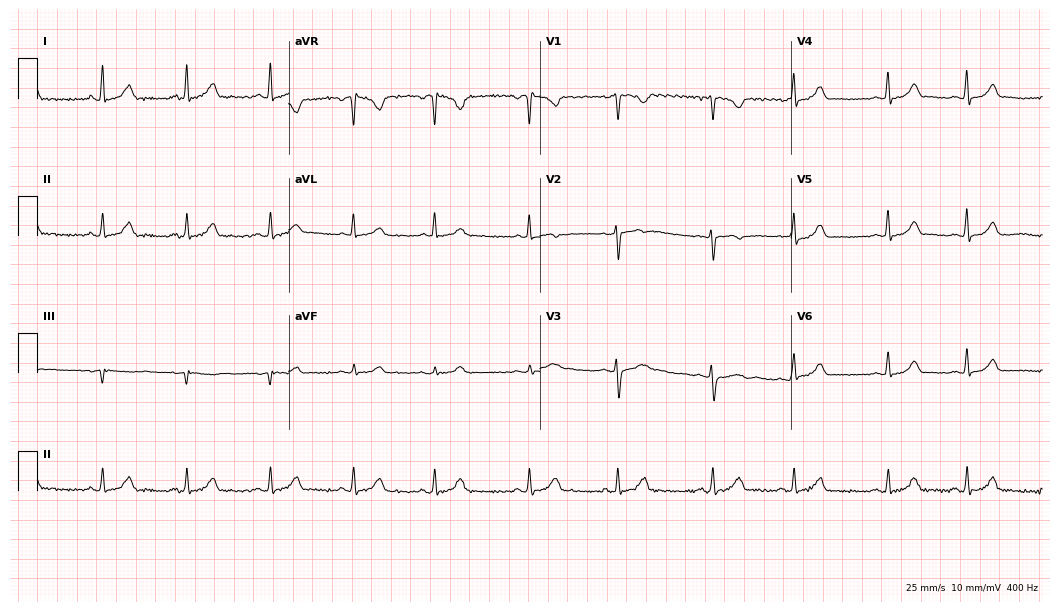
Standard 12-lead ECG recorded from a female patient, 28 years old (10.2-second recording at 400 Hz). Read as a normal ECG.